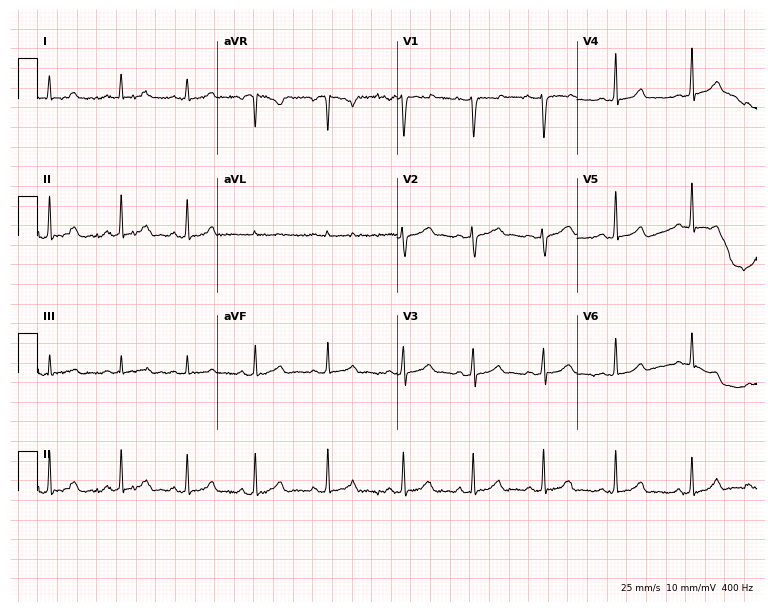
Resting 12-lead electrocardiogram. Patient: a female, 23 years old. Read as a normal ECG.